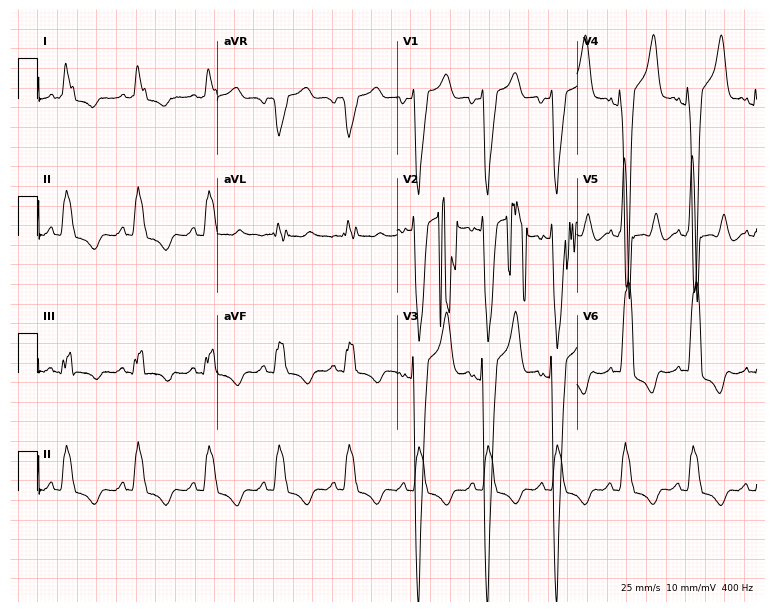
Resting 12-lead electrocardiogram (7.3-second recording at 400 Hz). Patient: a male, 59 years old. The tracing shows left bundle branch block.